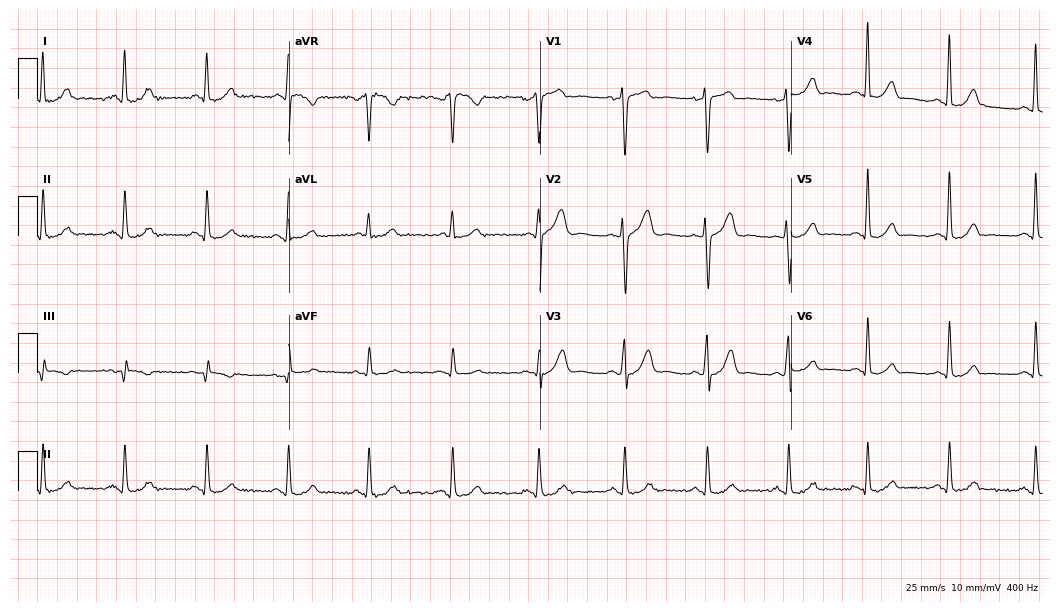
Resting 12-lead electrocardiogram. Patient: a male, 37 years old. None of these six findings is recorded: first-degree AV block, right bundle branch block (RBBB), left bundle branch block (LBBB), sinus bradycardia, atrial fibrillation (AF), sinus tachycardia. Other findings, if any, are not listed.